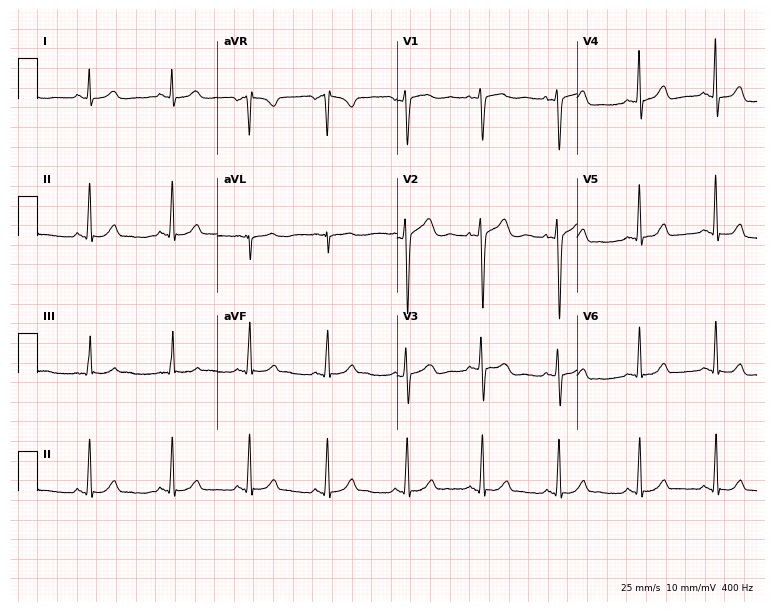
Standard 12-lead ECG recorded from a 39-year-old woman. Read as a normal ECG.